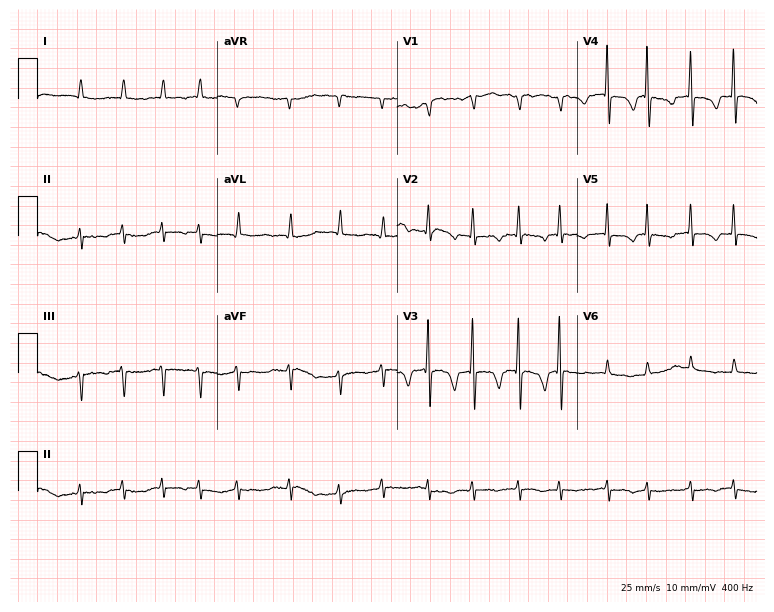
12-lead ECG from an 83-year-old woman. Findings include atrial fibrillation.